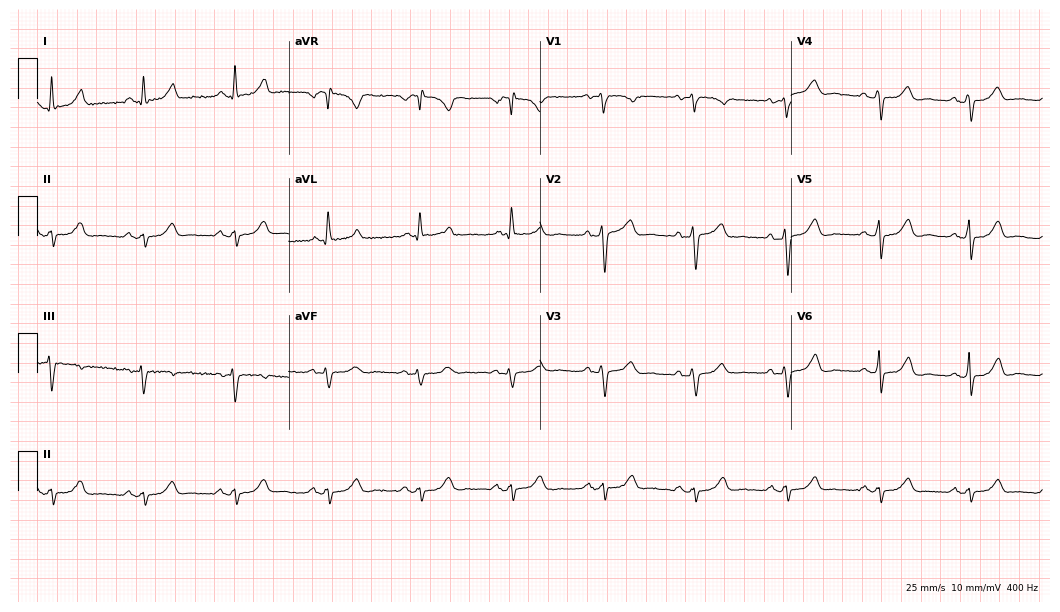
Electrocardiogram (10.2-second recording at 400 Hz), a female patient, 47 years old. Of the six screened findings (first-degree AV block, right bundle branch block (RBBB), left bundle branch block (LBBB), sinus bradycardia, atrial fibrillation (AF), sinus tachycardia), none is recorded.